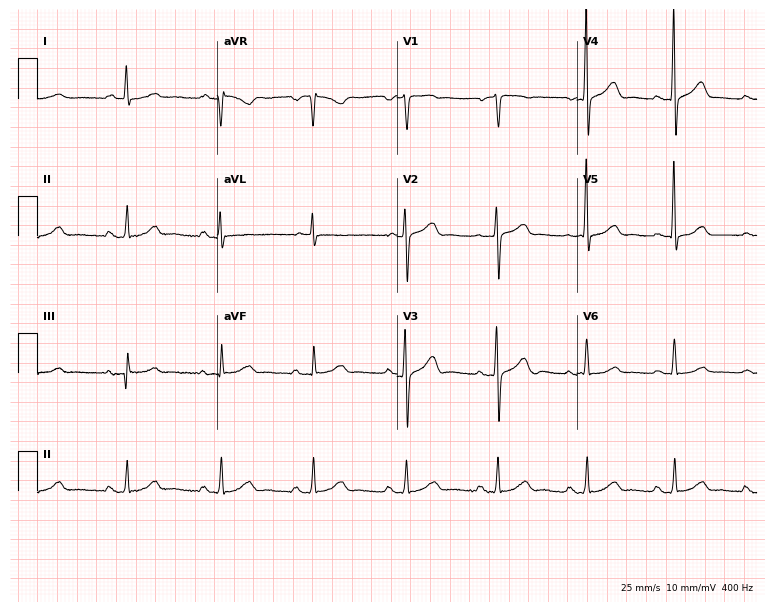
Resting 12-lead electrocardiogram (7.3-second recording at 400 Hz). Patient: a 67-year-old male. Read as a normal ECG.